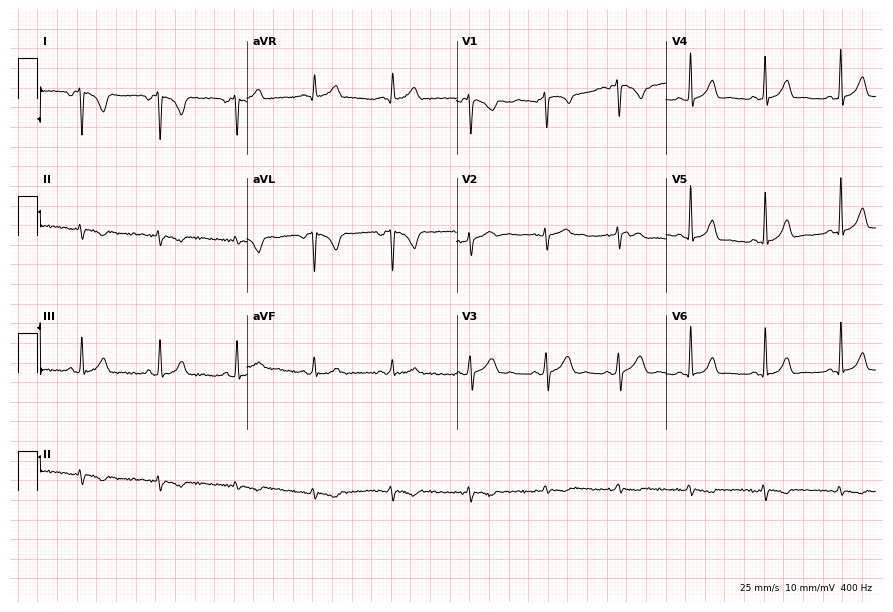
ECG — a 44-year-old female. Screened for six findings — first-degree AV block, right bundle branch block, left bundle branch block, sinus bradycardia, atrial fibrillation, sinus tachycardia — none is recorded. Other findings, if any, are not listed.